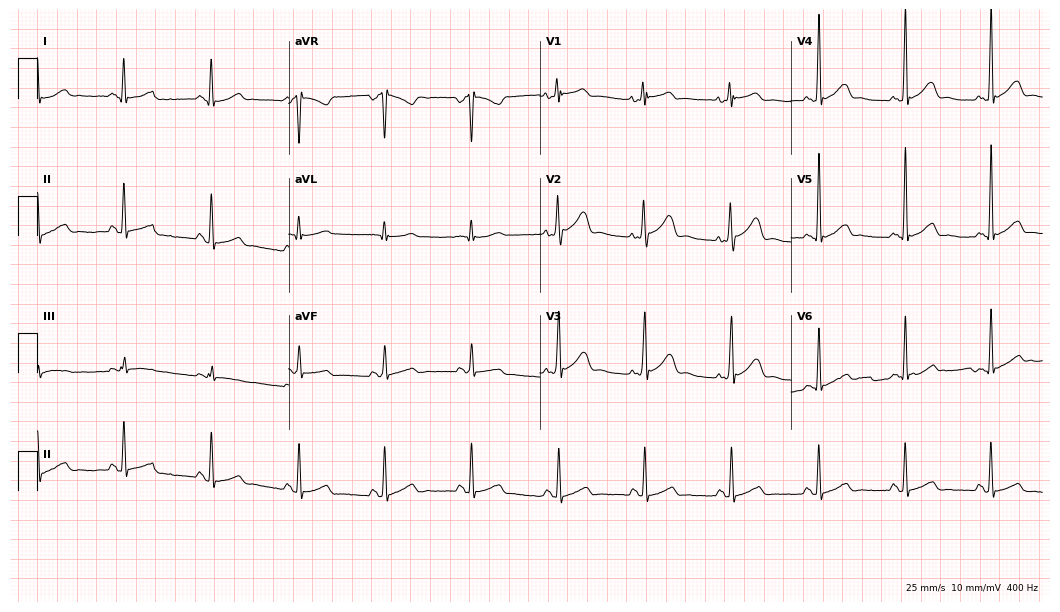
12-lead ECG (10.2-second recording at 400 Hz) from a woman, 41 years old. Screened for six findings — first-degree AV block, right bundle branch block, left bundle branch block, sinus bradycardia, atrial fibrillation, sinus tachycardia — none is recorded.